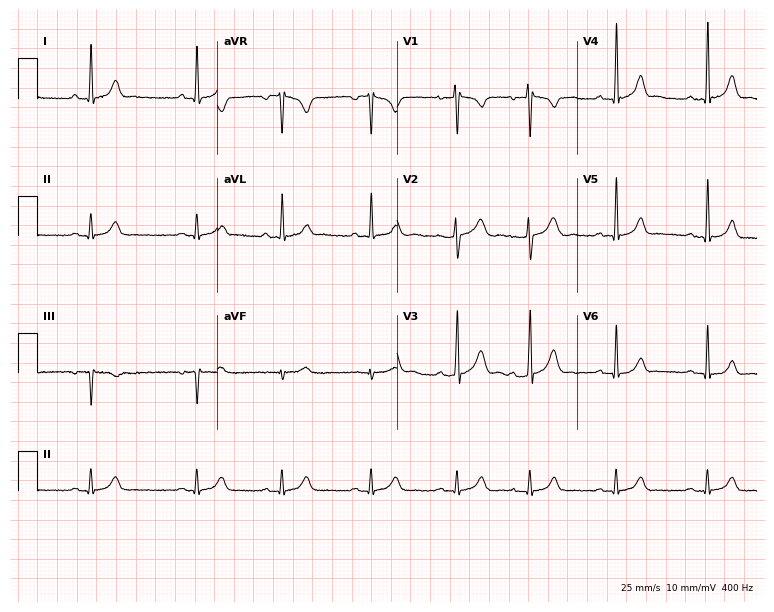
12-lead ECG from a female, 25 years old. Screened for six findings — first-degree AV block, right bundle branch block, left bundle branch block, sinus bradycardia, atrial fibrillation, sinus tachycardia — none is recorded.